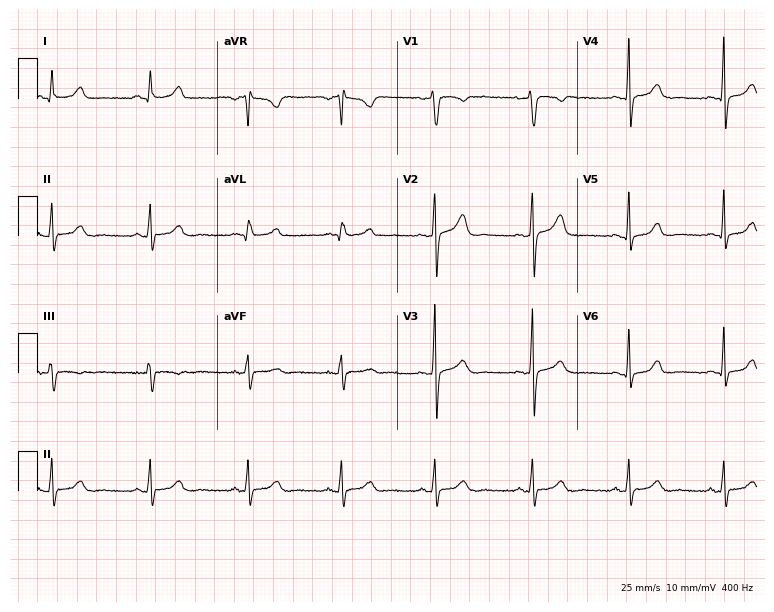
Electrocardiogram (7.3-second recording at 400 Hz), a female patient, 33 years old. Overall reading on record: normal ECG.